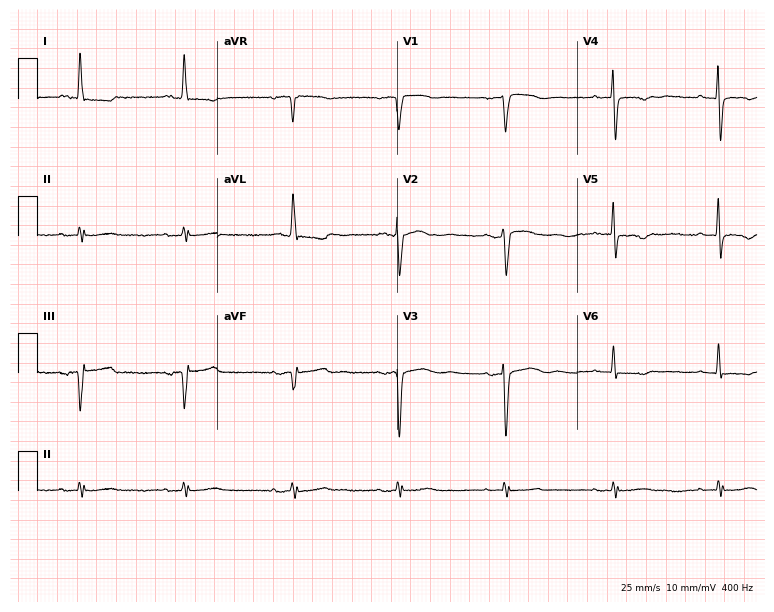
ECG (7.3-second recording at 400 Hz) — a 76-year-old woman. Screened for six findings — first-degree AV block, right bundle branch block, left bundle branch block, sinus bradycardia, atrial fibrillation, sinus tachycardia — none is recorded.